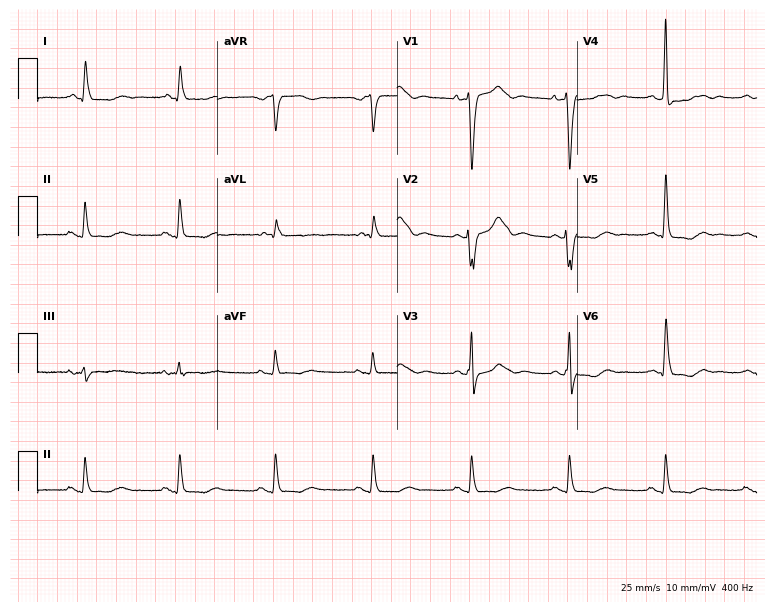
12-lead ECG from a 61-year-old woman (7.3-second recording at 400 Hz). Shows left bundle branch block (LBBB).